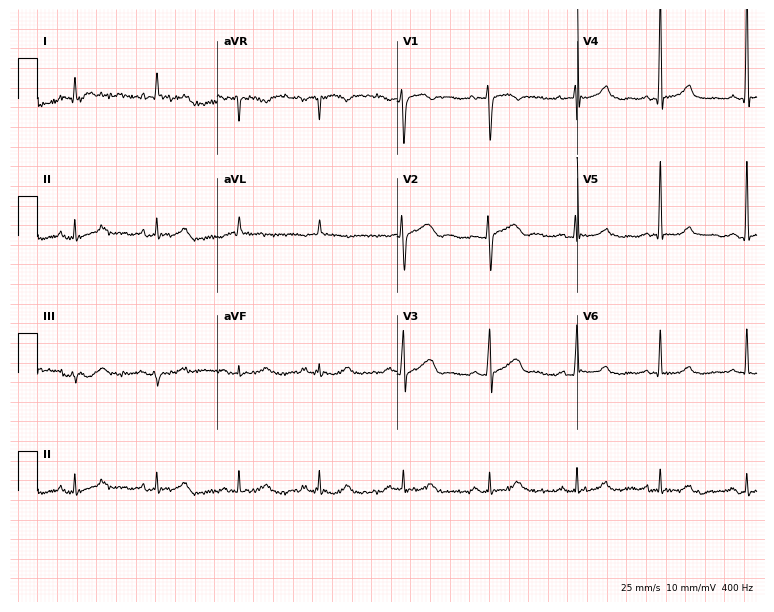
12-lead ECG from a 78-year-old man (7.3-second recording at 400 Hz). Recorded interpretation: within normal limits.